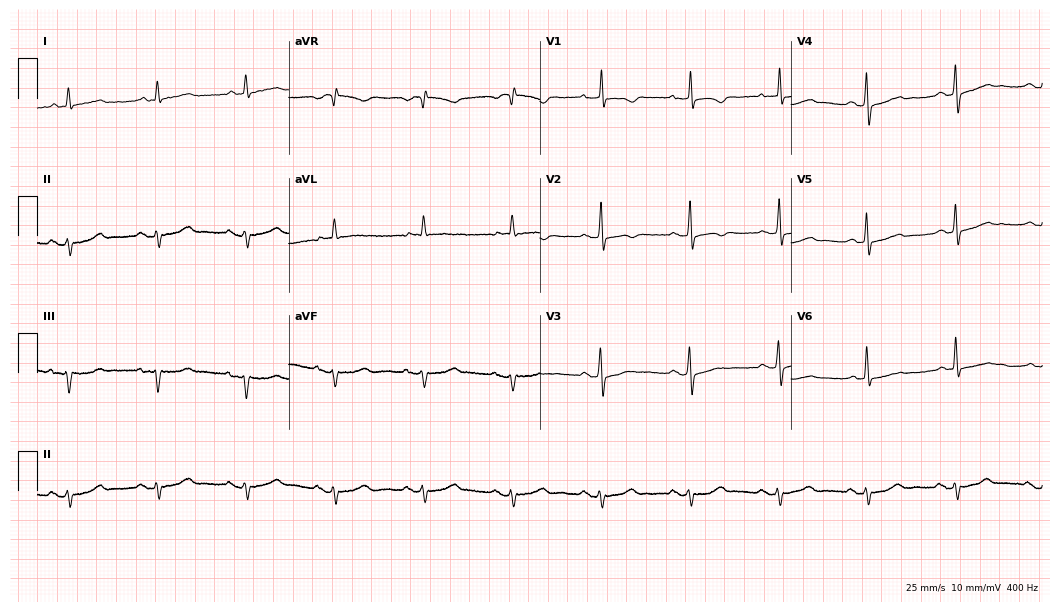
Electrocardiogram (10.2-second recording at 400 Hz), a 79-year-old female patient. Of the six screened findings (first-degree AV block, right bundle branch block (RBBB), left bundle branch block (LBBB), sinus bradycardia, atrial fibrillation (AF), sinus tachycardia), none is recorded.